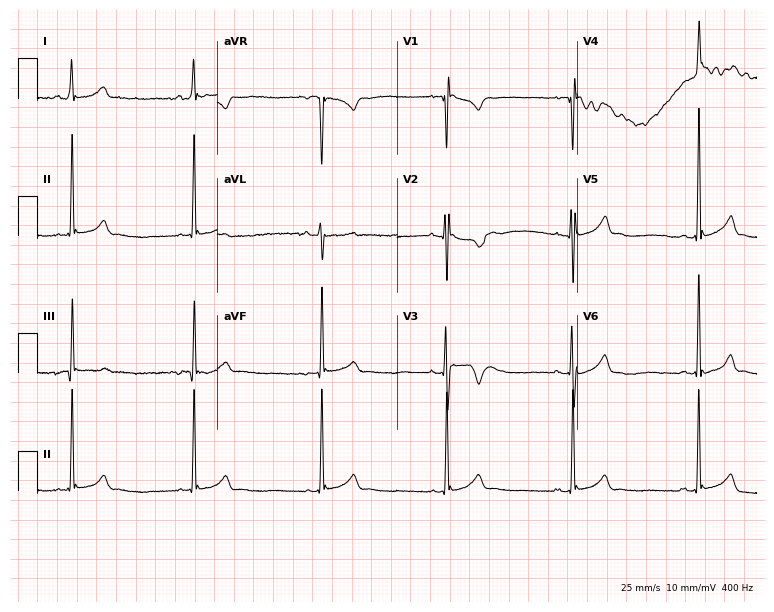
Resting 12-lead electrocardiogram. Patient: a 17-year-old man. None of these six findings is recorded: first-degree AV block, right bundle branch block, left bundle branch block, sinus bradycardia, atrial fibrillation, sinus tachycardia. Other findings, if any, are not listed.